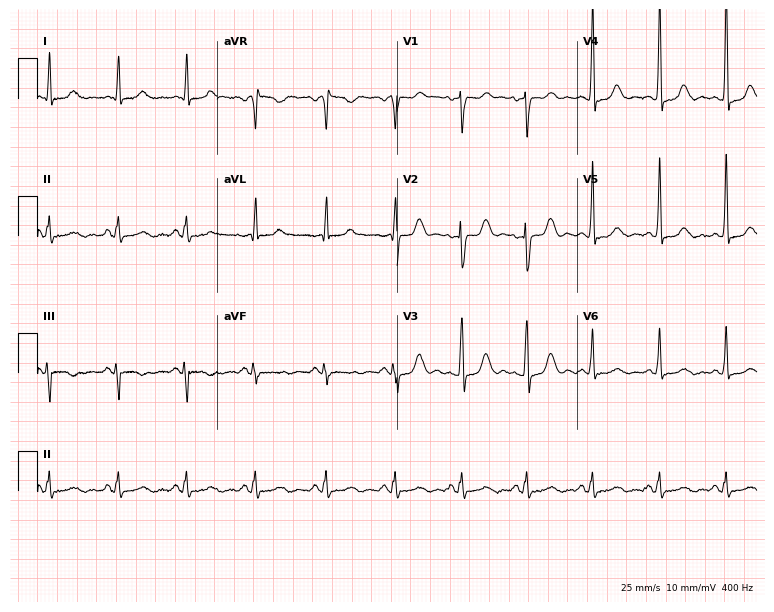
ECG (7.3-second recording at 400 Hz) — a 53-year-old female patient. Labelled as a normal ECG.